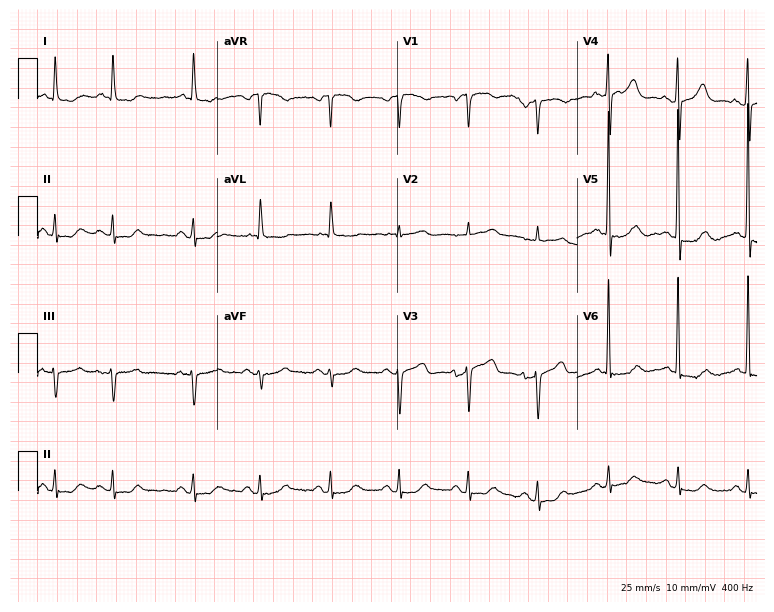
12-lead ECG from an 86-year-old woman. No first-degree AV block, right bundle branch block, left bundle branch block, sinus bradycardia, atrial fibrillation or sinus tachycardia recorded for this tracing. Findings outside these six are not listed.